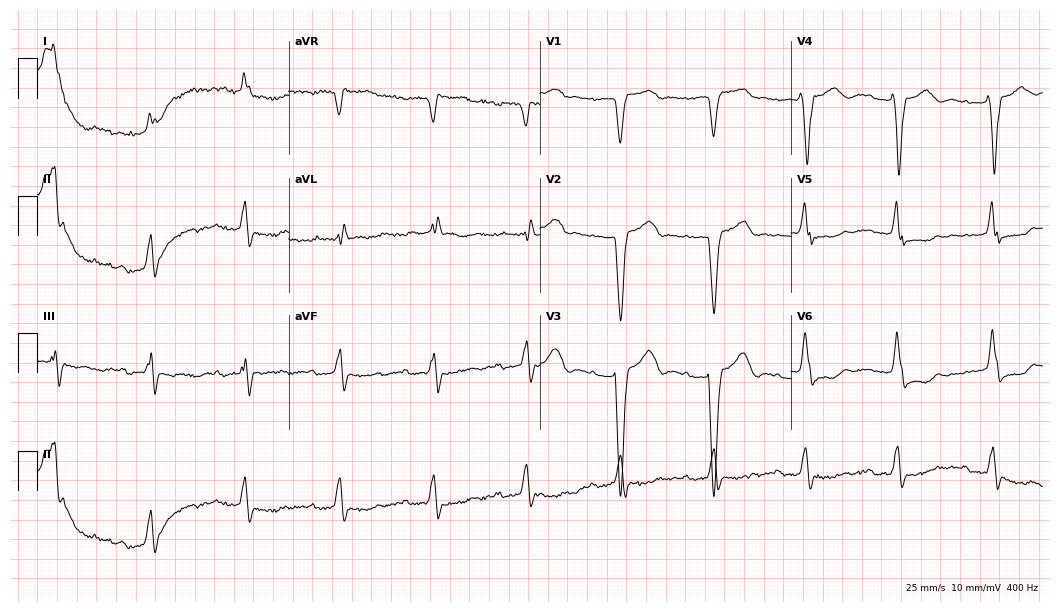
12-lead ECG (10.2-second recording at 400 Hz) from an 84-year-old female patient. Findings include first-degree AV block, left bundle branch block.